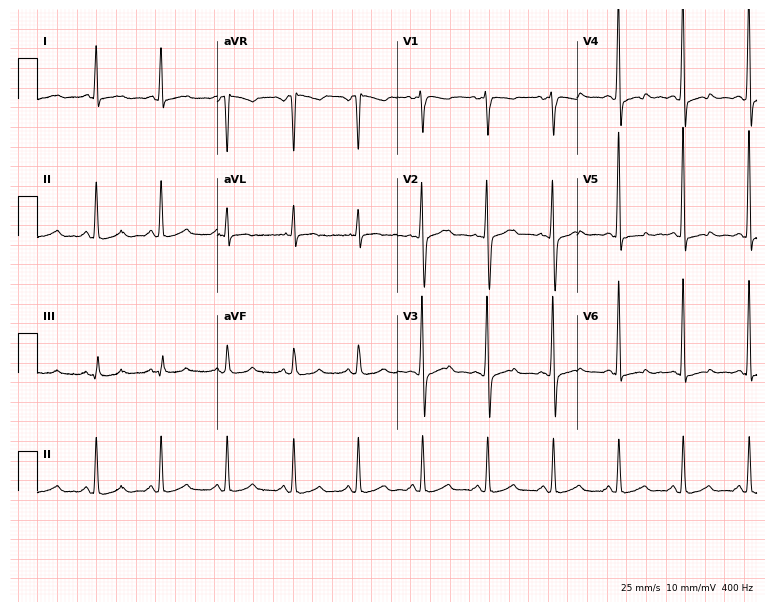
Electrocardiogram (7.3-second recording at 400 Hz), a 56-year-old female patient. Of the six screened findings (first-degree AV block, right bundle branch block, left bundle branch block, sinus bradycardia, atrial fibrillation, sinus tachycardia), none is recorded.